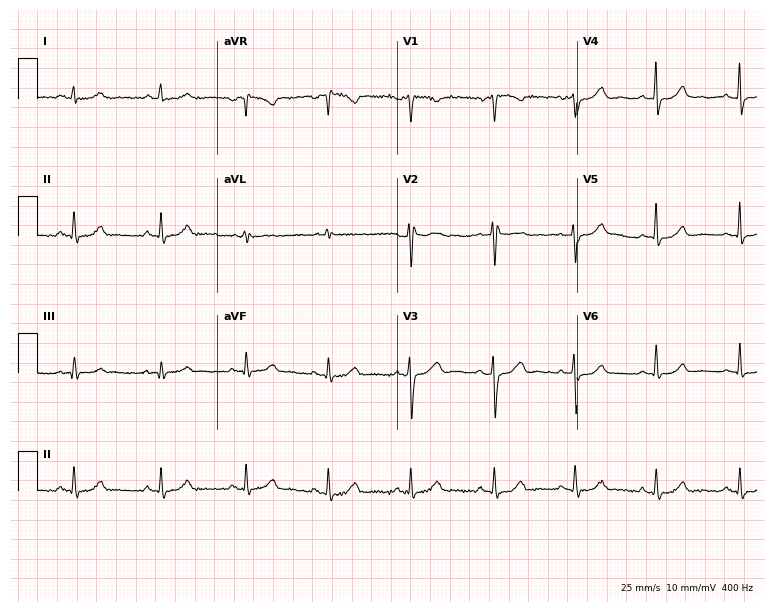
12-lead ECG from a female patient, 36 years old (7.3-second recording at 400 Hz). Recorded interpretation: within normal limits.